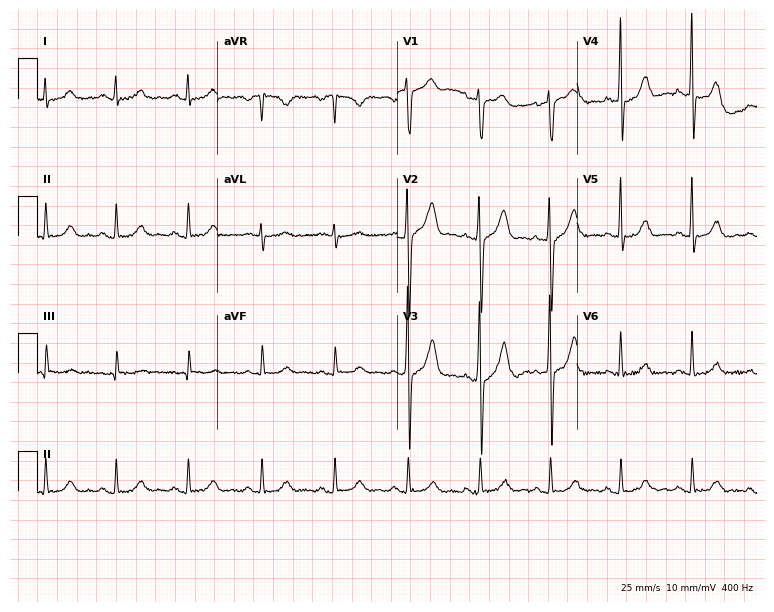
12-lead ECG from a male, 61 years old (7.3-second recording at 400 Hz). Recorded interpretation: within normal limits.